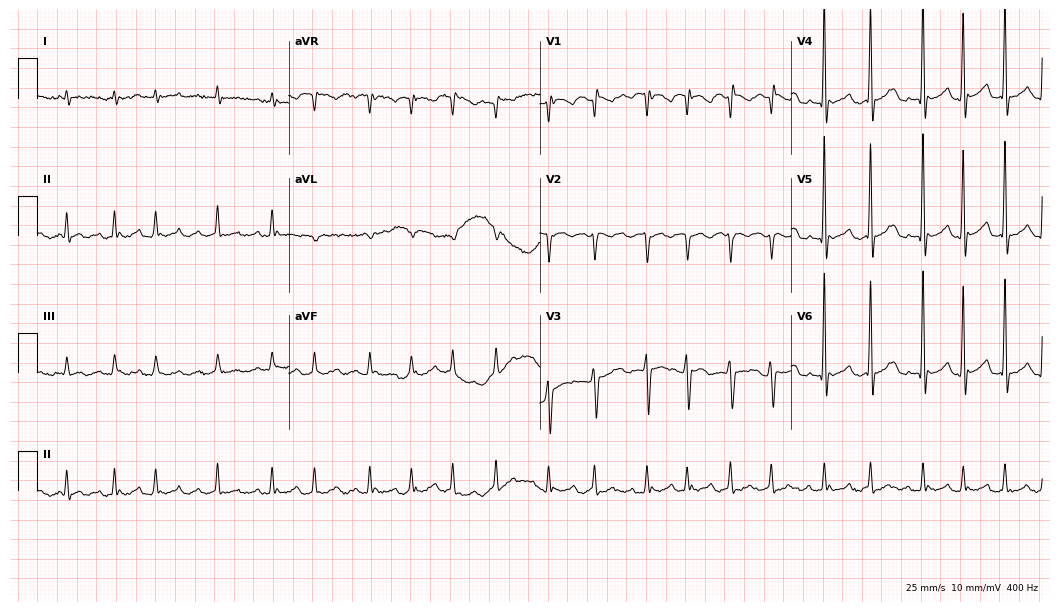
12-lead ECG from a 75-year-old man. Findings include sinus tachycardia (a sinus rate of 100 beats per minute or more).